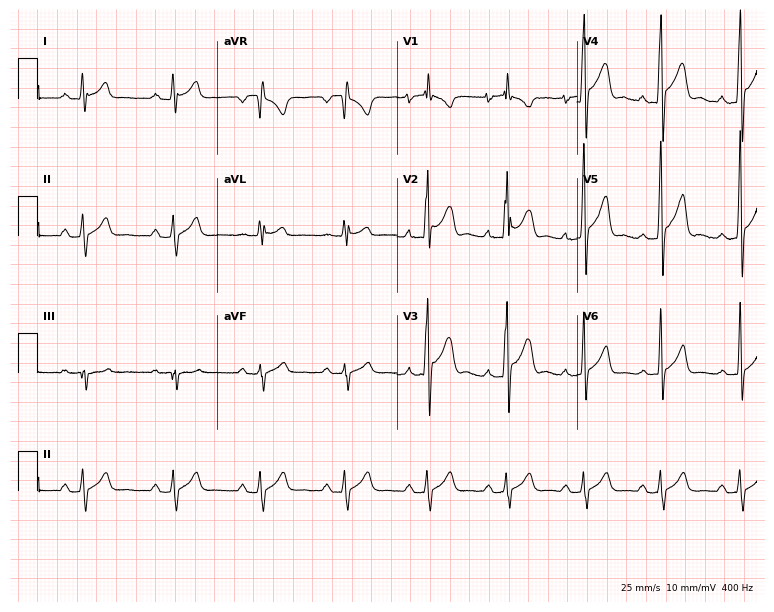
Standard 12-lead ECG recorded from a male, 17 years old (7.3-second recording at 400 Hz). None of these six findings is recorded: first-degree AV block, right bundle branch block (RBBB), left bundle branch block (LBBB), sinus bradycardia, atrial fibrillation (AF), sinus tachycardia.